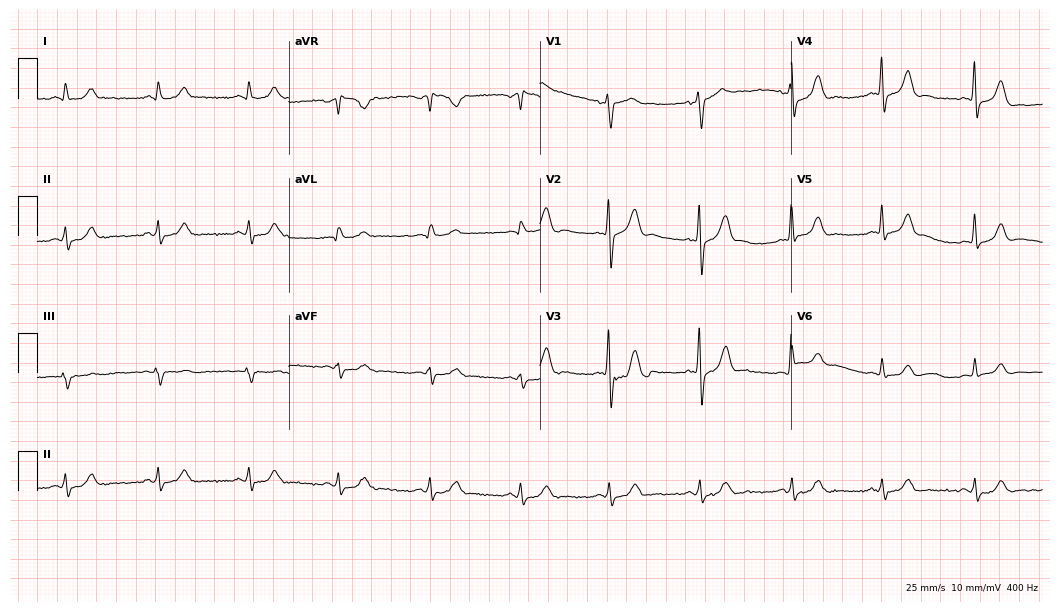
Resting 12-lead electrocardiogram (10.2-second recording at 400 Hz). Patient: a 51-year-old male. Read as a normal ECG.